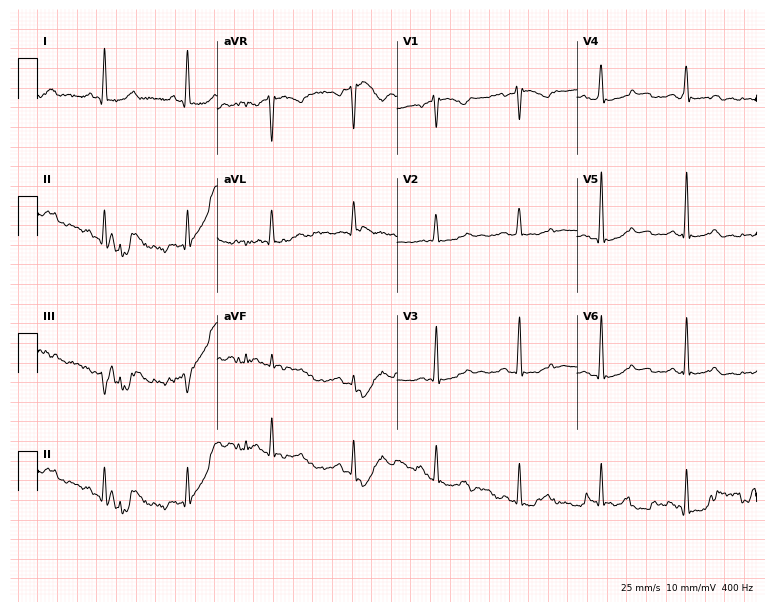
Electrocardiogram (7.3-second recording at 400 Hz), a woman, 66 years old. Of the six screened findings (first-degree AV block, right bundle branch block, left bundle branch block, sinus bradycardia, atrial fibrillation, sinus tachycardia), none is recorded. Other findings, if any, are not listed.